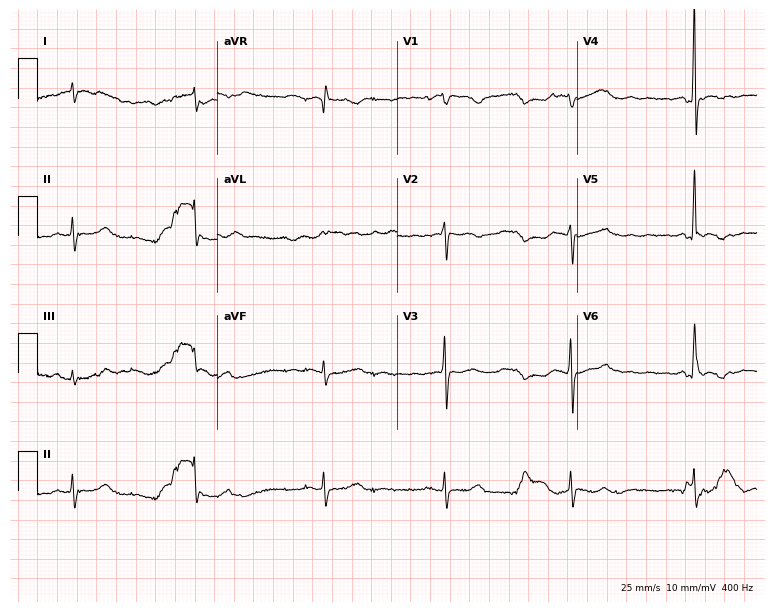
12-lead ECG from a 74-year-old woman. Screened for six findings — first-degree AV block, right bundle branch block (RBBB), left bundle branch block (LBBB), sinus bradycardia, atrial fibrillation (AF), sinus tachycardia — none is recorded. Other findings, if any, are not listed.